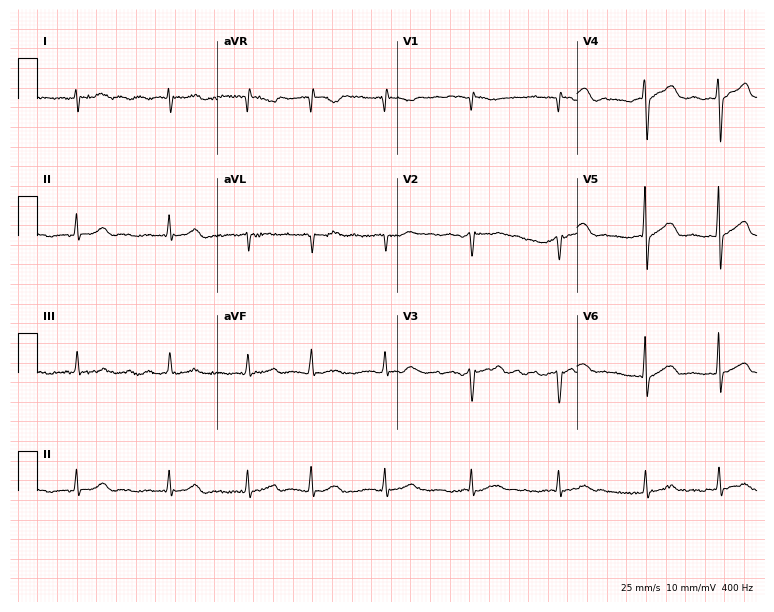
12-lead ECG (7.3-second recording at 400 Hz) from a 67-year-old male. Findings include atrial fibrillation.